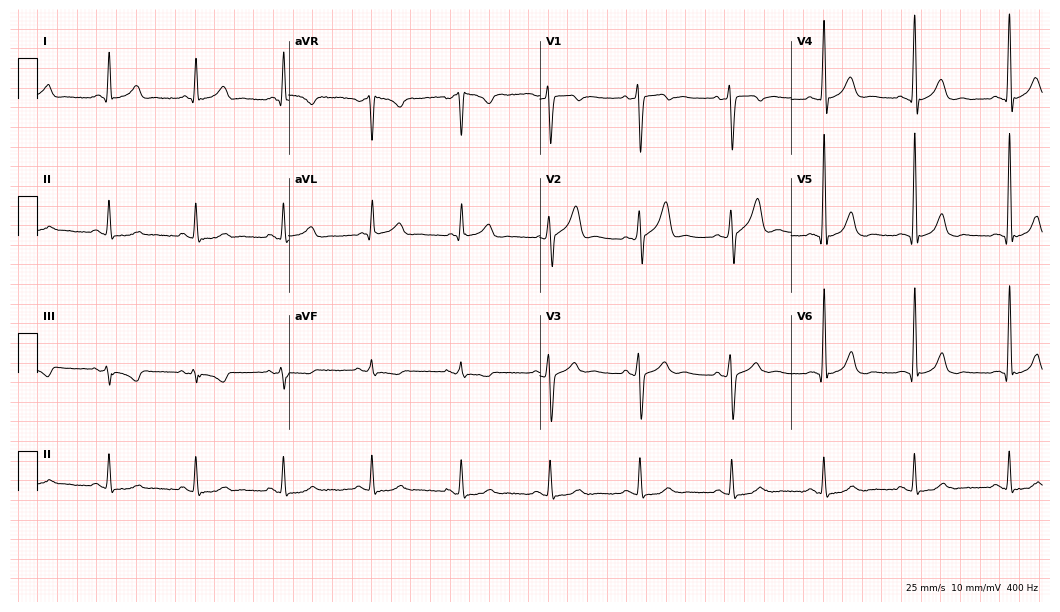
Electrocardiogram, a 50-year-old male patient. Of the six screened findings (first-degree AV block, right bundle branch block (RBBB), left bundle branch block (LBBB), sinus bradycardia, atrial fibrillation (AF), sinus tachycardia), none is recorded.